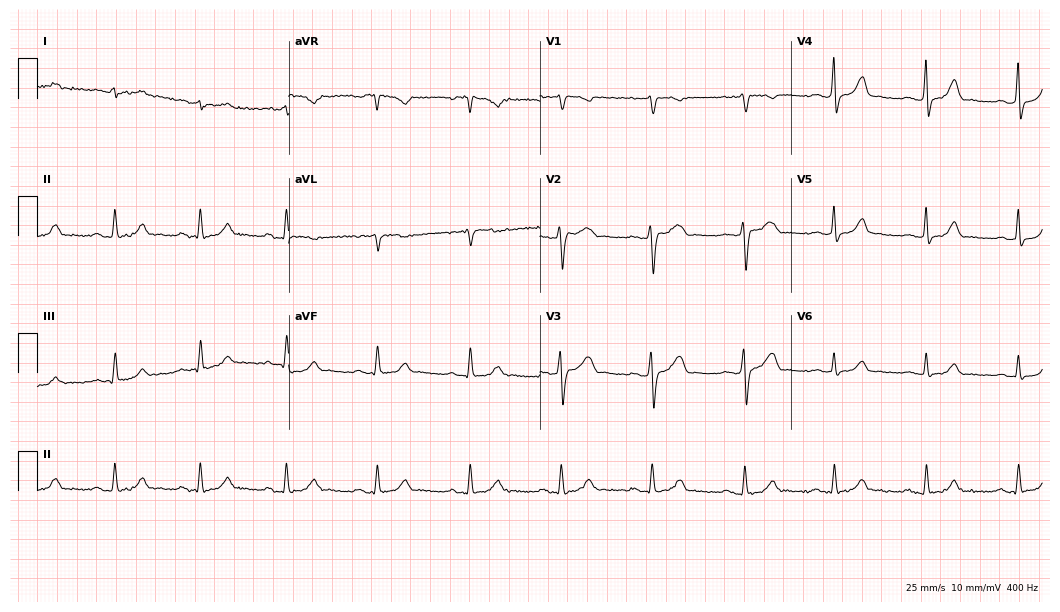
12-lead ECG from a 43-year-old male patient (10.2-second recording at 400 Hz). Recorded interpretation: within normal limits.